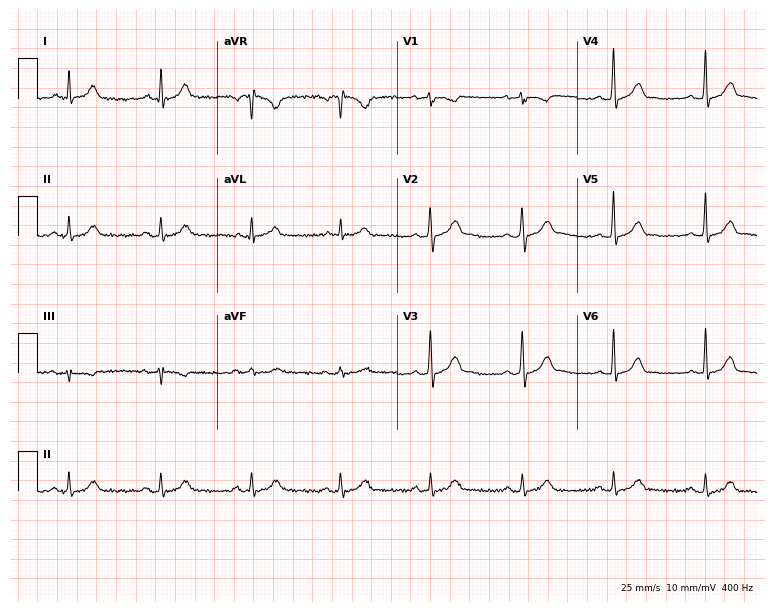
12-lead ECG from a male, 53 years old. Labelled as a normal ECG.